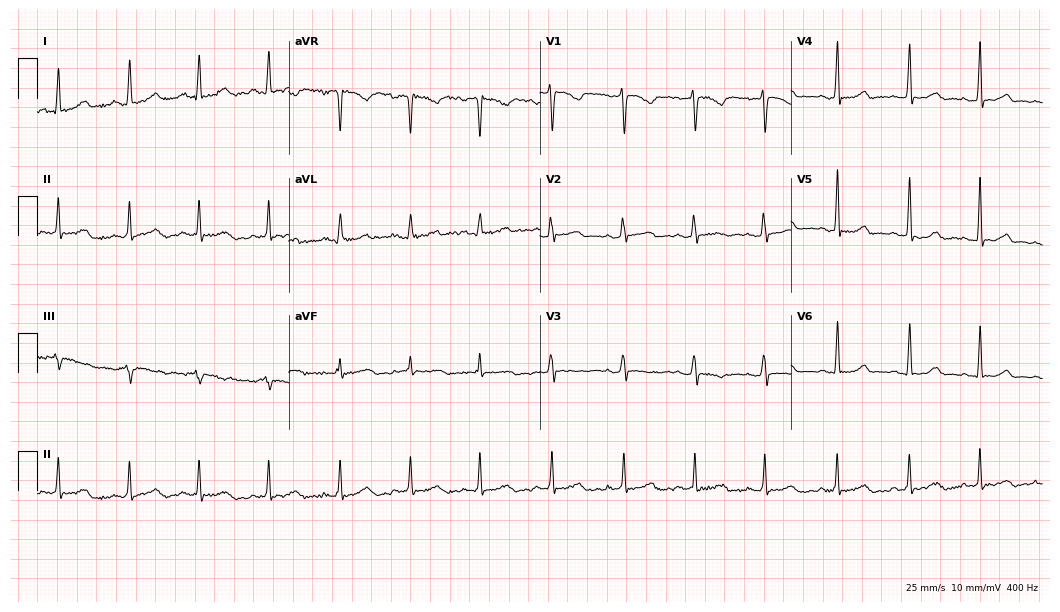
Resting 12-lead electrocardiogram. Patient: a female, 37 years old. None of these six findings is recorded: first-degree AV block, right bundle branch block, left bundle branch block, sinus bradycardia, atrial fibrillation, sinus tachycardia. Findings outside these six are not listed.